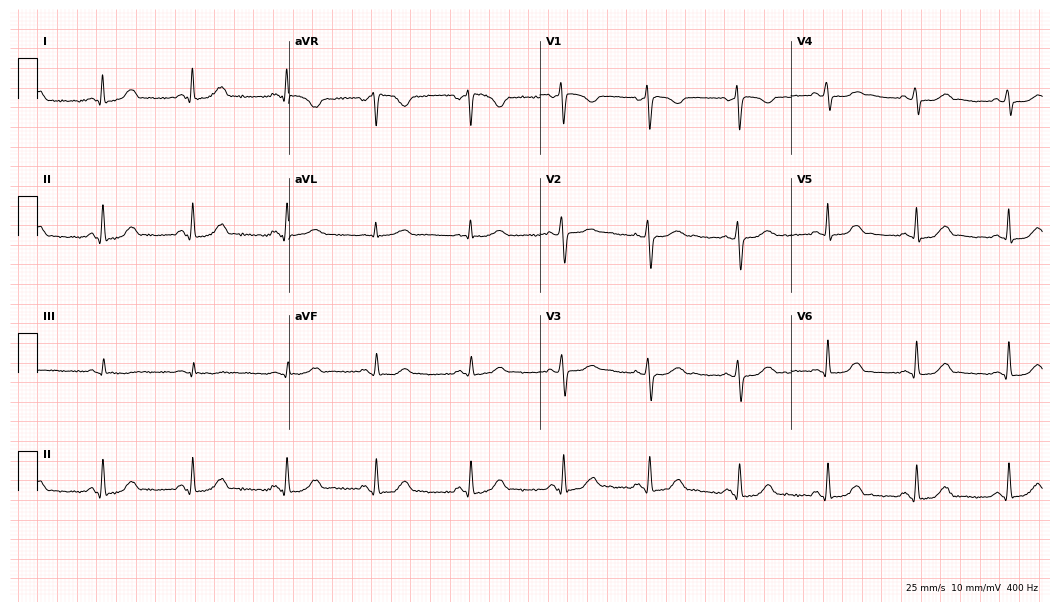
Electrocardiogram, a 42-year-old female patient. Overall reading on record: normal ECG.